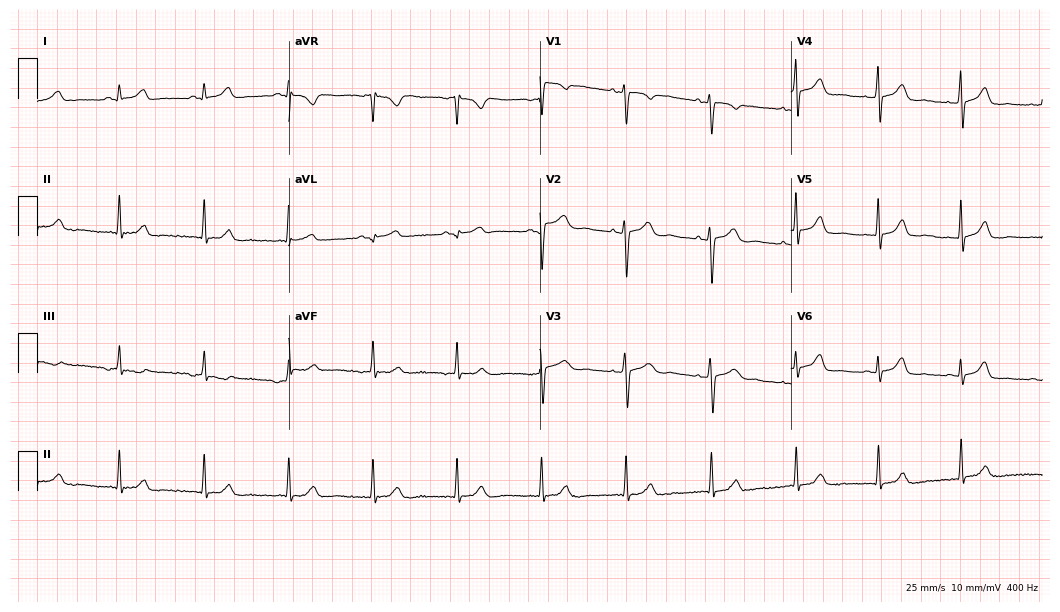
12-lead ECG from a 41-year-old woman. Labelled as a normal ECG.